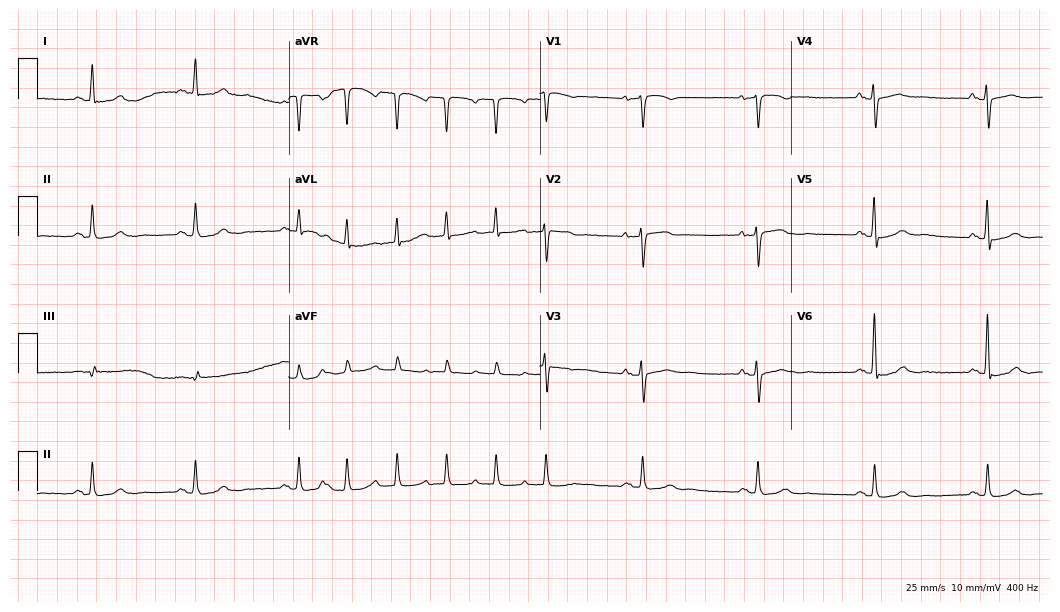
ECG — a female patient, 68 years old. Screened for six findings — first-degree AV block, right bundle branch block (RBBB), left bundle branch block (LBBB), sinus bradycardia, atrial fibrillation (AF), sinus tachycardia — none is recorded. Findings outside these six are not listed.